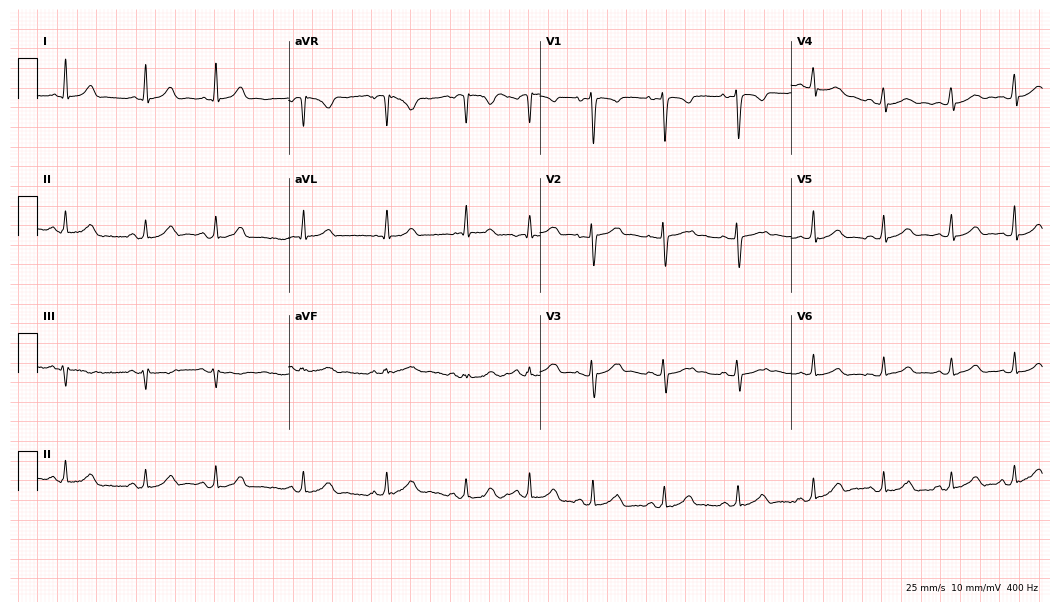
12-lead ECG from a 28-year-old woman. Labelled as a normal ECG.